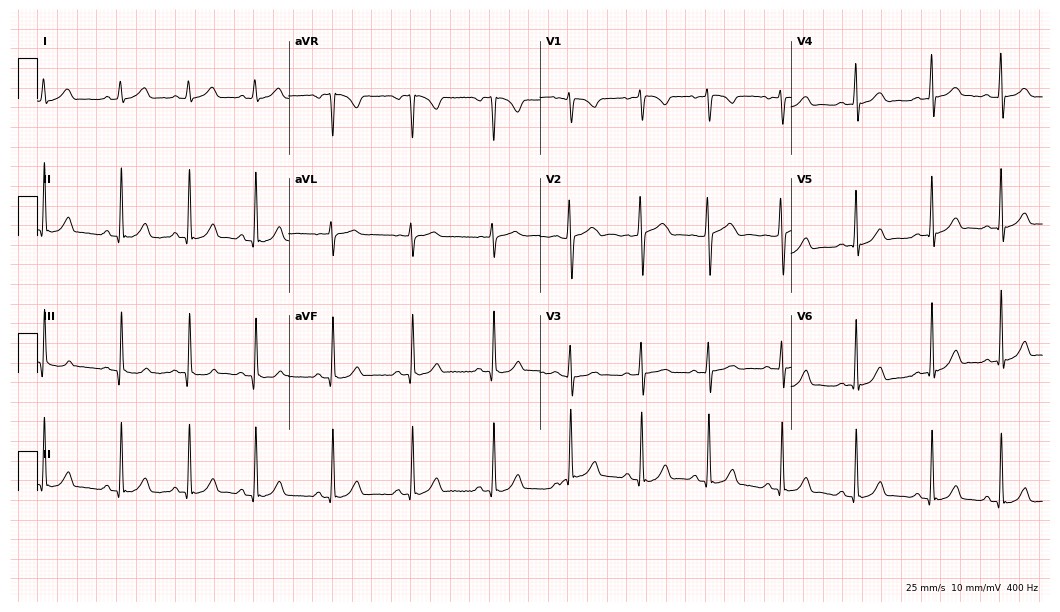
Resting 12-lead electrocardiogram (10.2-second recording at 400 Hz). Patient: a woman, 32 years old. Read as a normal ECG.